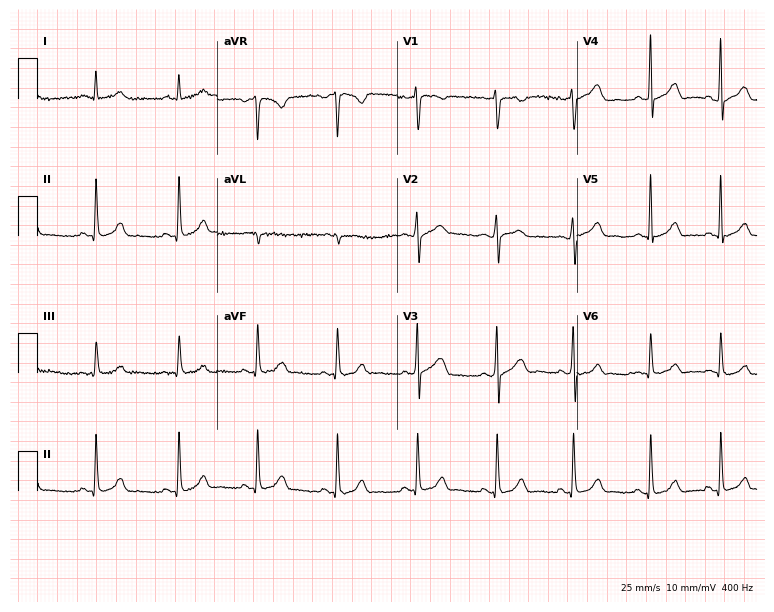
12-lead ECG from a 41-year-old woman. Recorded interpretation: within normal limits.